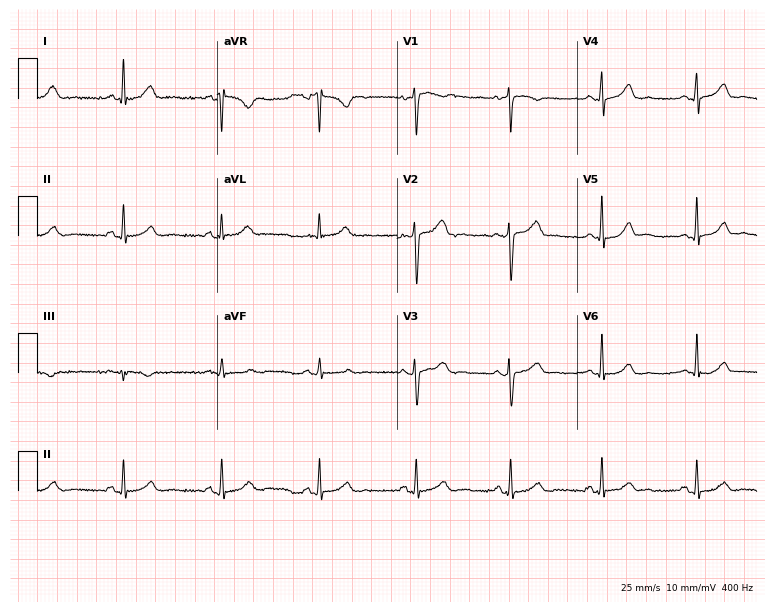
Electrocardiogram (7.3-second recording at 400 Hz), a woman, 54 years old. Overall reading on record: normal ECG.